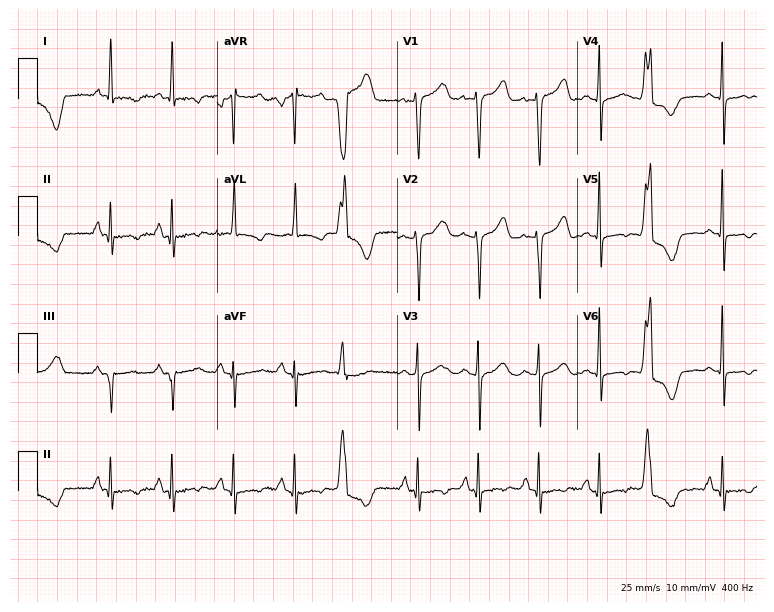
12-lead ECG (7.3-second recording at 400 Hz) from a 52-year-old female. Screened for six findings — first-degree AV block, right bundle branch block, left bundle branch block, sinus bradycardia, atrial fibrillation, sinus tachycardia — none is recorded. Findings outside these six are not listed.